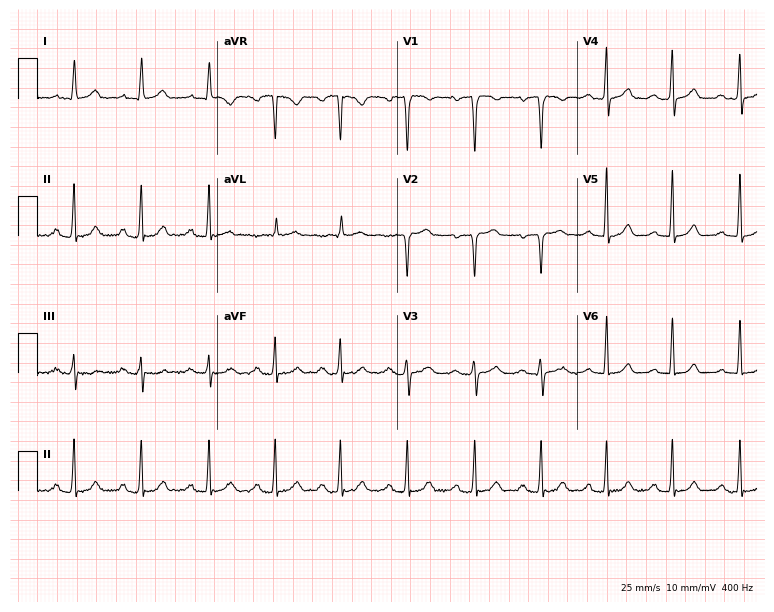
ECG — a woman, 37 years old. Screened for six findings — first-degree AV block, right bundle branch block, left bundle branch block, sinus bradycardia, atrial fibrillation, sinus tachycardia — none is recorded. Only these six findings were labelled.